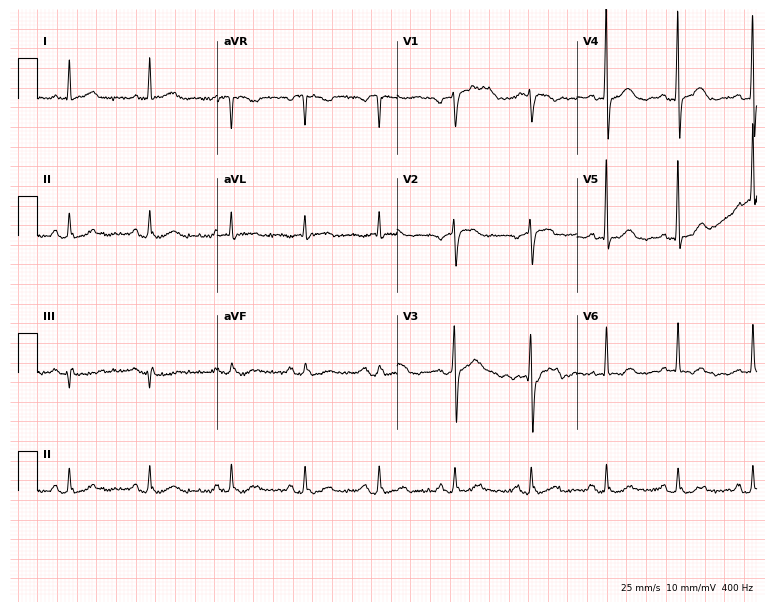
Electrocardiogram, a man, 78 years old. Overall reading on record: normal ECG.